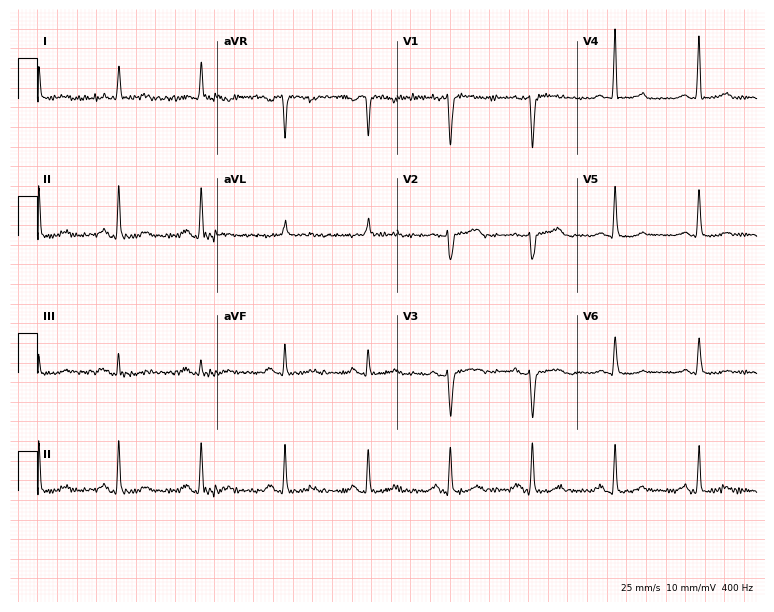
12-lead ECG from a female, 67 years old. Recorded interpretation: within normal limits.